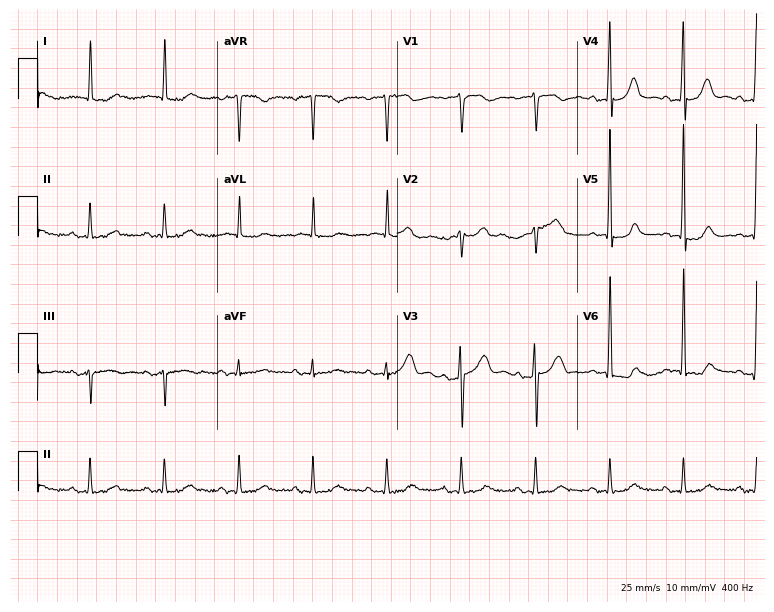
12-lead ECG from a man, 84 years old. Labelled as a normal ECG.